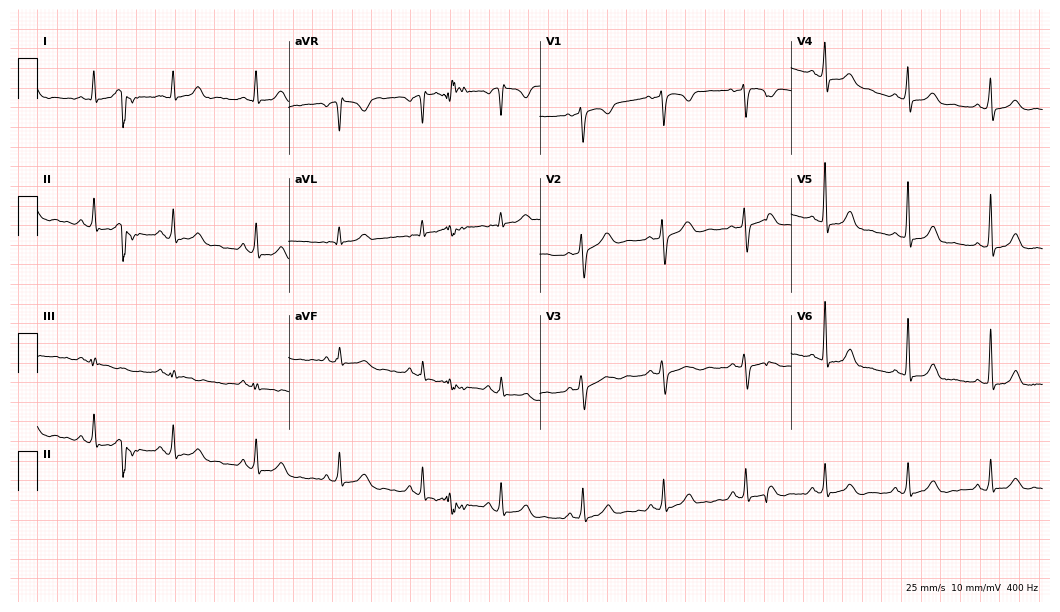
Standard 12-lead ECG recorded from a 34-year-old female patient. Read as a normal ECG.